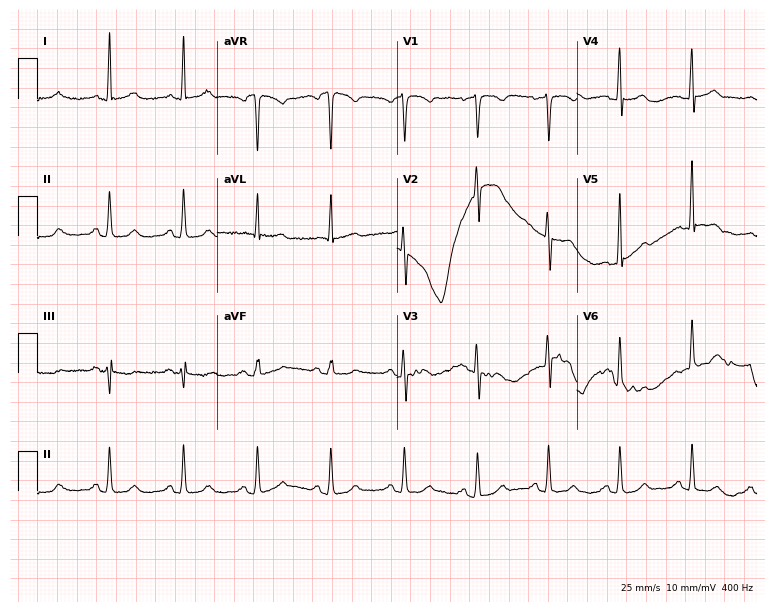
Electrocardiogram, a 53-year-old female patient. Overall reading on record: normal ECG.